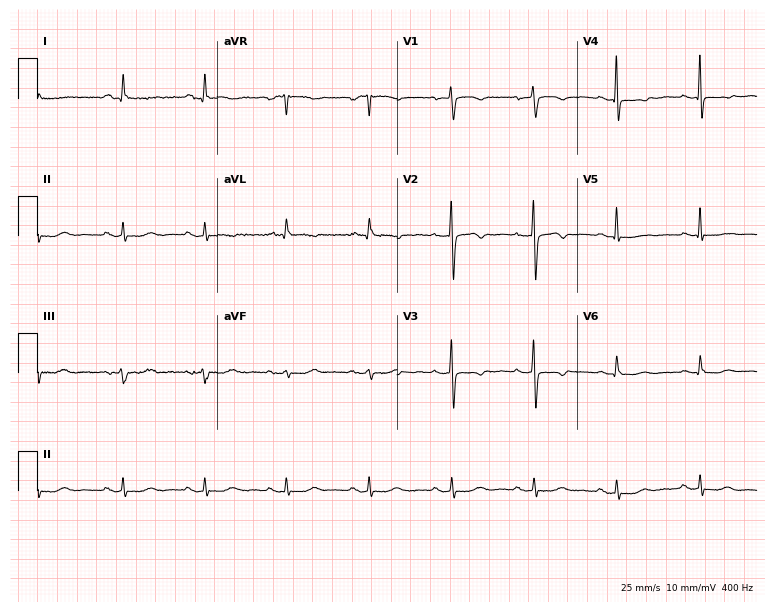
Resting 12-lead electrocardiogram. Patient: a woman, 85 years old. None of these six findings is recorded: first-degree AV block, right bundle branch block, left bundle branch block, sinus bradycardia, atrial fibrillation, sinus tachycardia.